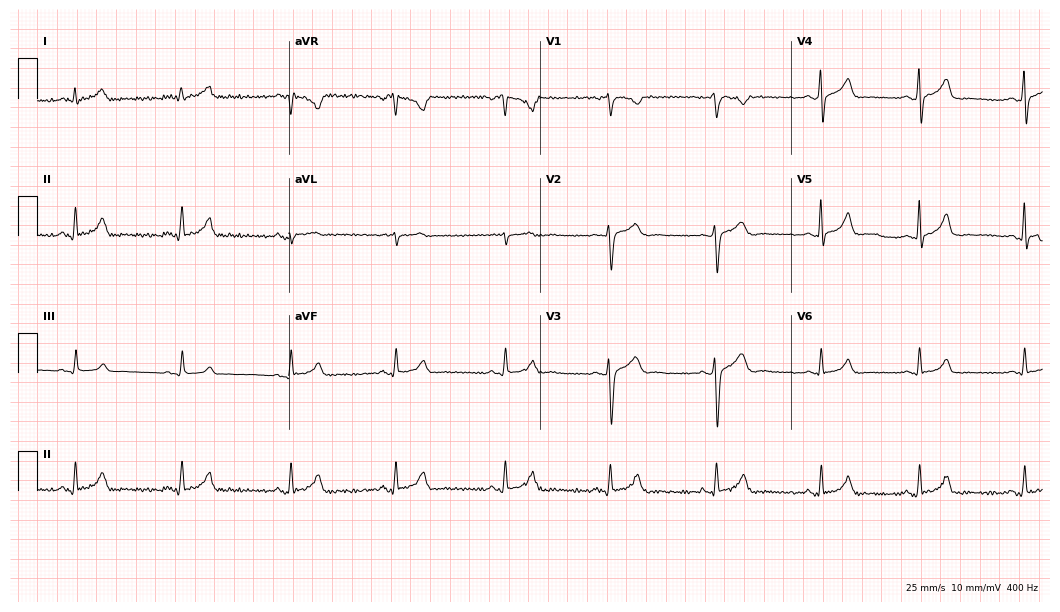
12-lead ECG (10.2-second recording at 400 Hz) from a 22-year-old man. Labelled as a normal ECG.